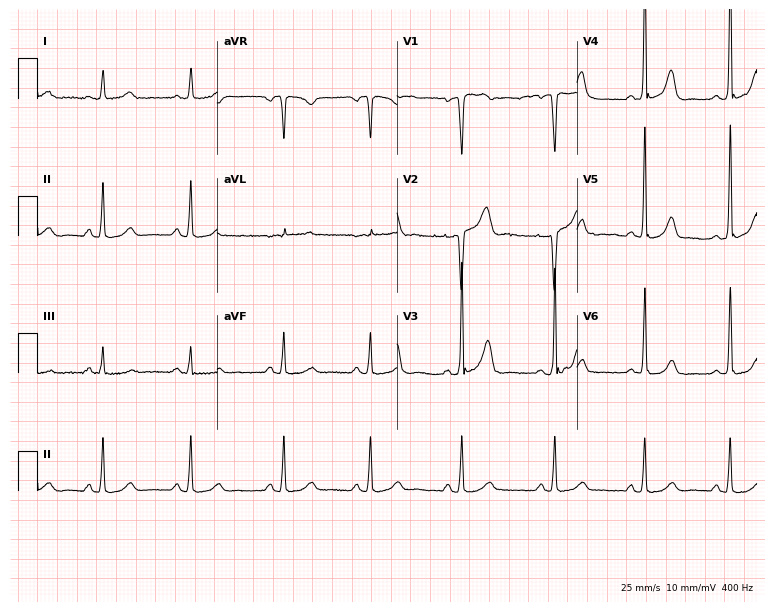
Standard 12-lead ECG recorded from a female, 54 years old (7.3-second recording at 400 Hz). Read as a normal ECG.